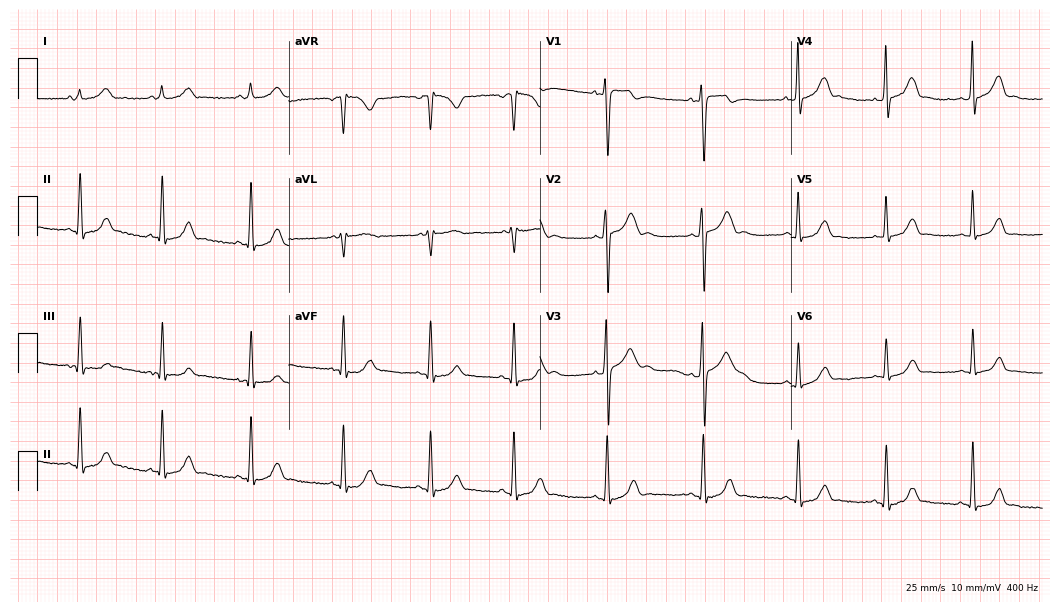
12-lead ECG from a male patient, 19 years old. Recorded interpretation: within normal limits.